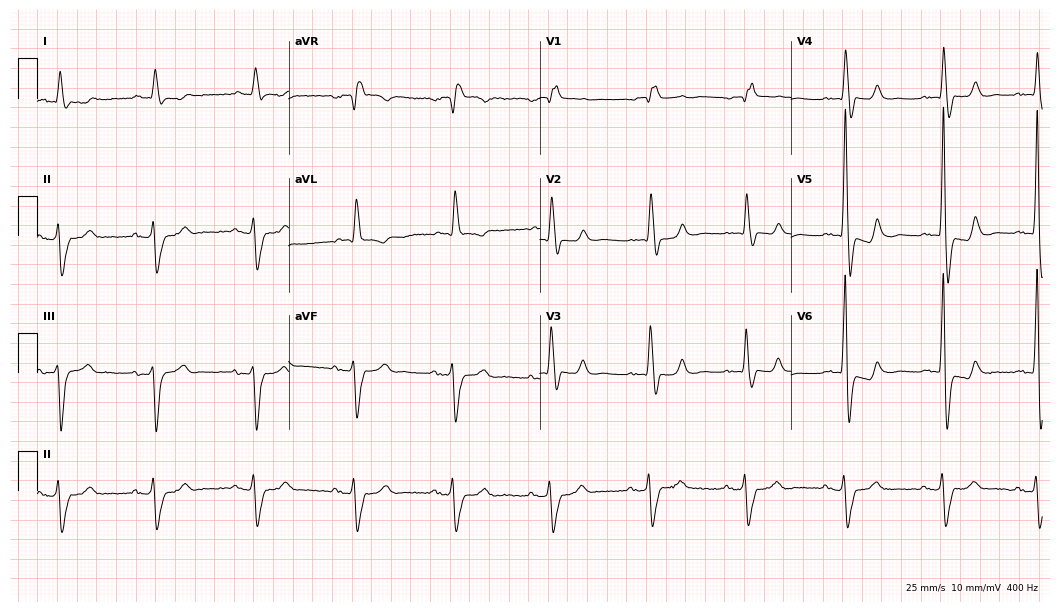
12-lead ECG from a male, 80 years old (10.2-second recording at 400 Hz). Shows right bundle branch block.